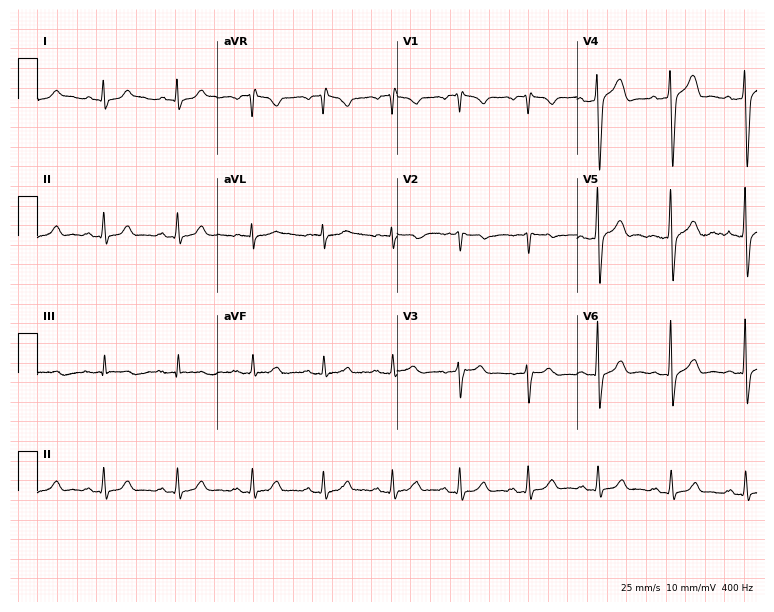
Electrocardiogram, a 35-year-old male patient. Of the six screened findings (first-degree AV block, right bundle branch block, left bundle branch block, sinus bradycardia, atrial fibrillation, sinus tachycardia), none is recorded. Findings outside these six are not listed.